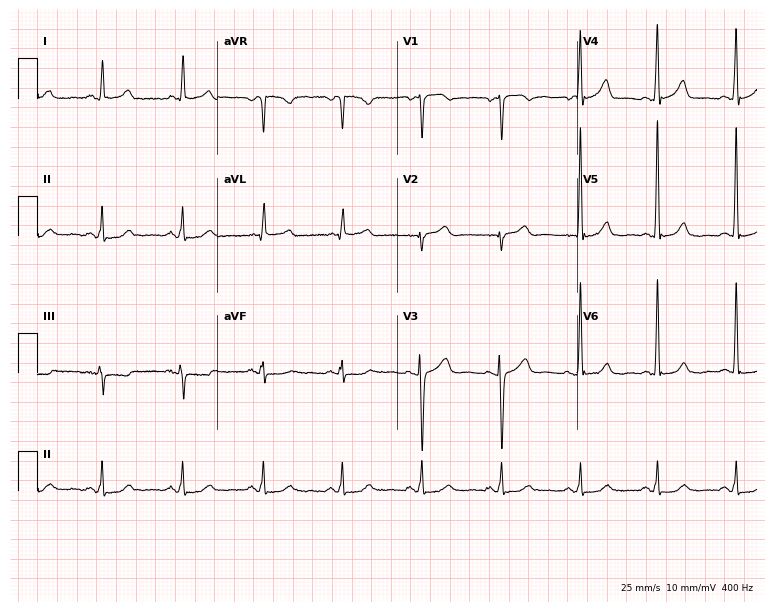
12-lead ECG from a female patient, 43 years old. Screened for six findings — first-degree AV block, right bundle branch block, left bundle branch block, sinus bradycardia, atrial fibrillation, sinus tachycardia — none is recorded. Findings outside these six are not listed.